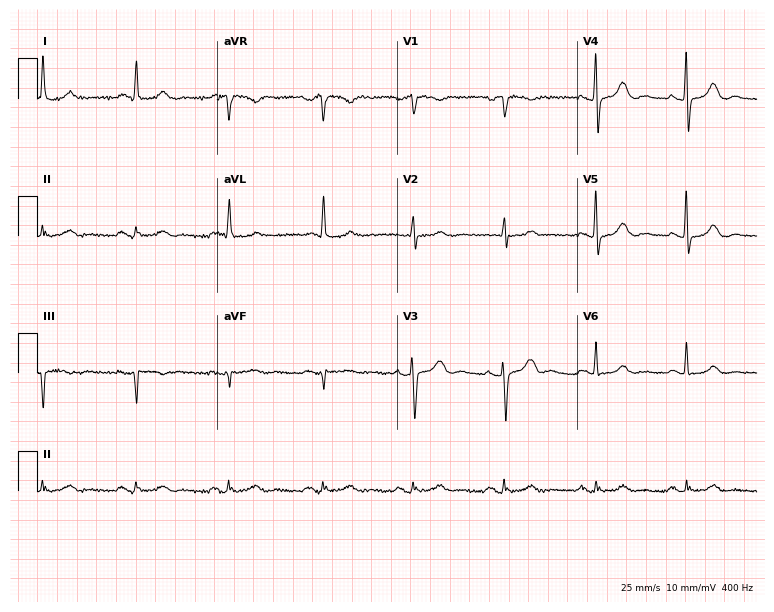
ECG (7.3-second recording at 400 Hz) — a 78-year-old female. Labelled as a normal ECG.